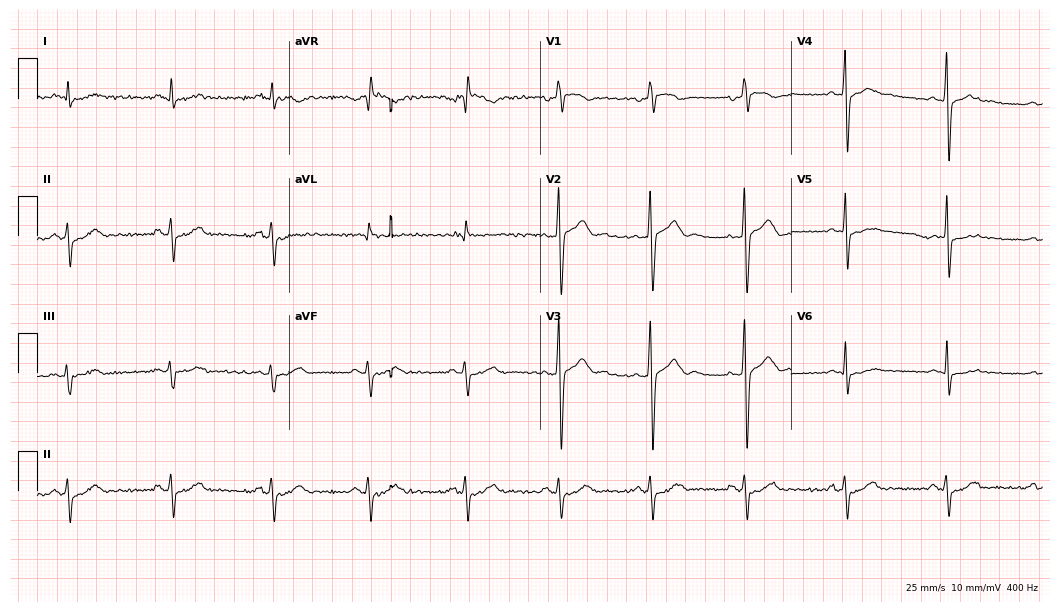
Resting 12-lead electrocardiogram. Patient: a 51-year-old male. None of these six findings is recorded: first-degree AV block, right bundle branch block, left bundle branch block, sinus bradycardia, atrial fibrillation, sinus tachycardia.